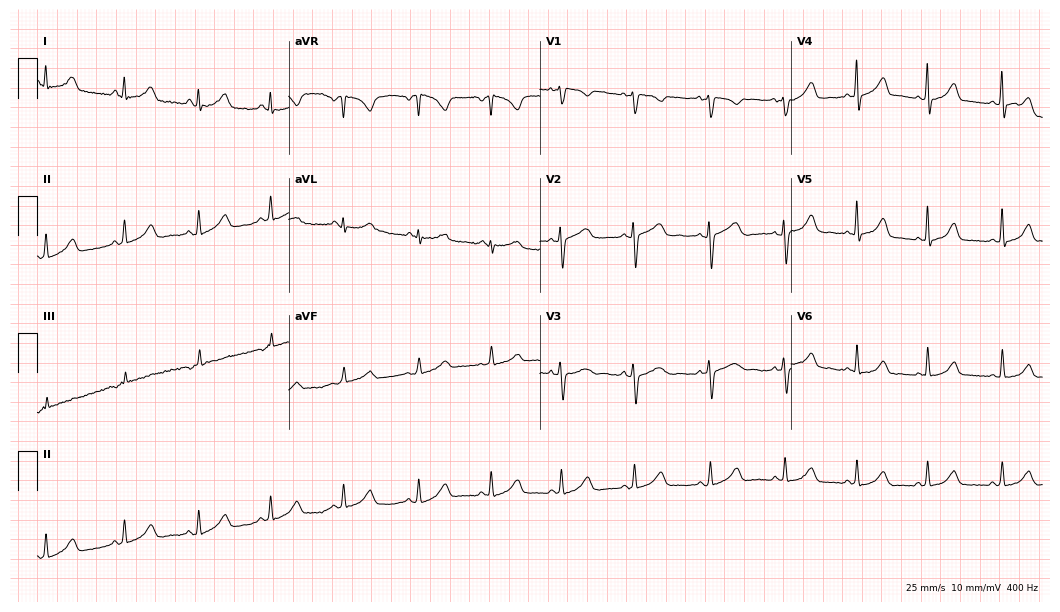
Standard 12-lead ECG recorded from a 21-year-old woman (10.2-second recording at 400 Hz). Read as a normal ECG.